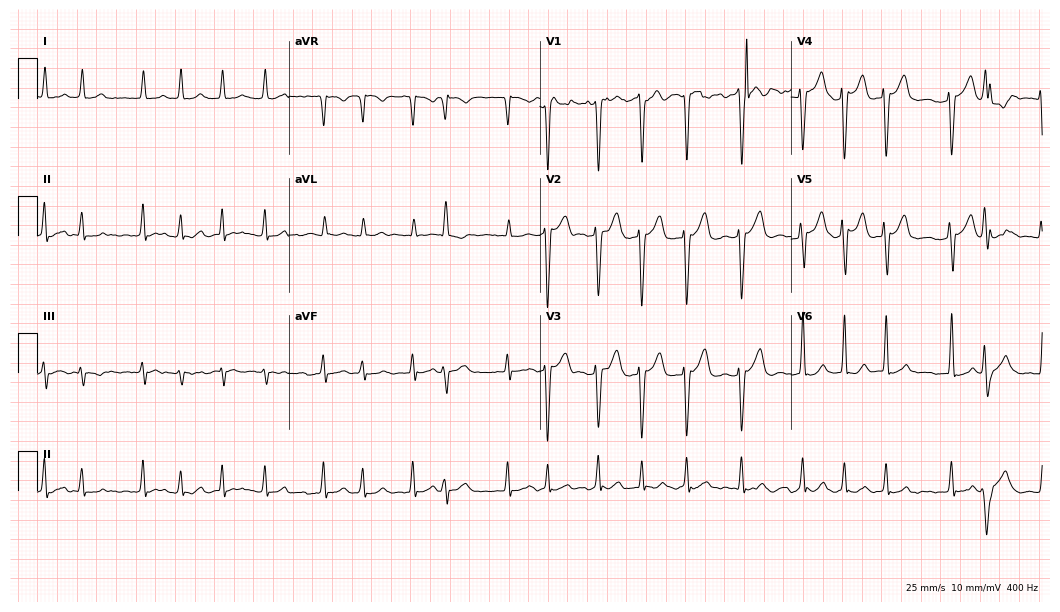
ECG (10.2-second recording at 400 Hz) — a male patient, 64 years old. Findings include atrial fibrillation, sinus tachycardia (a sinus rate of 100 beats per minute or more).